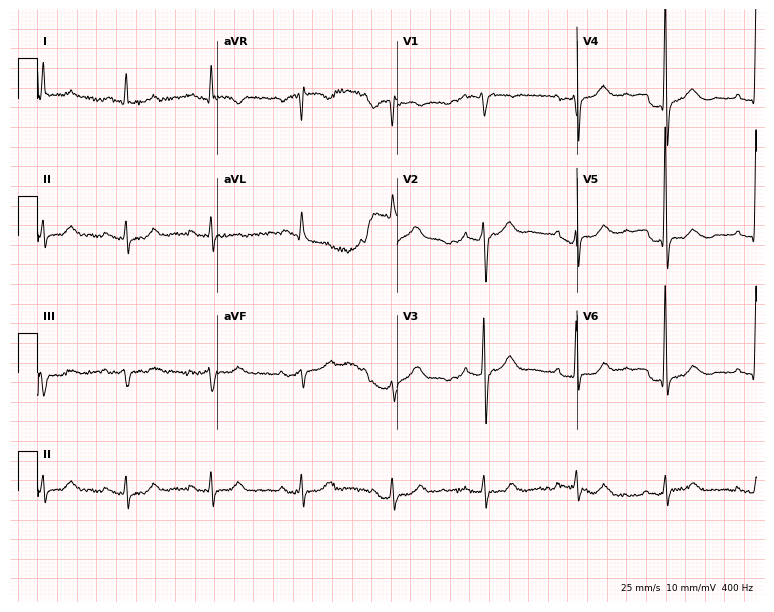
12-lead ECG from a 69-year-old man. No first-degree AV block, right bundle branch block, left bundle branch block, sinus bradycardia, atrial fibrillation or sinus tachycardia recorded for this tracing. Other findings, if any, are not listed.